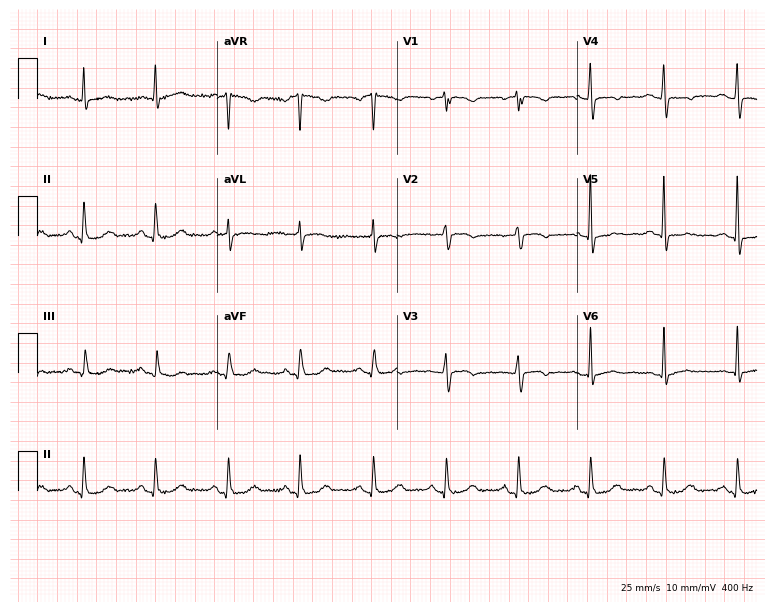
12-lead ECG from a 76-year-old woman (7.3-second recording at 400 Hz). No first-degree AV block, right bundle branch block, left bundle branch block, sinus bradycardia, atrial fibrillation or sinus tachycardia recorded for this tracing. Findings outside these six are not listed.